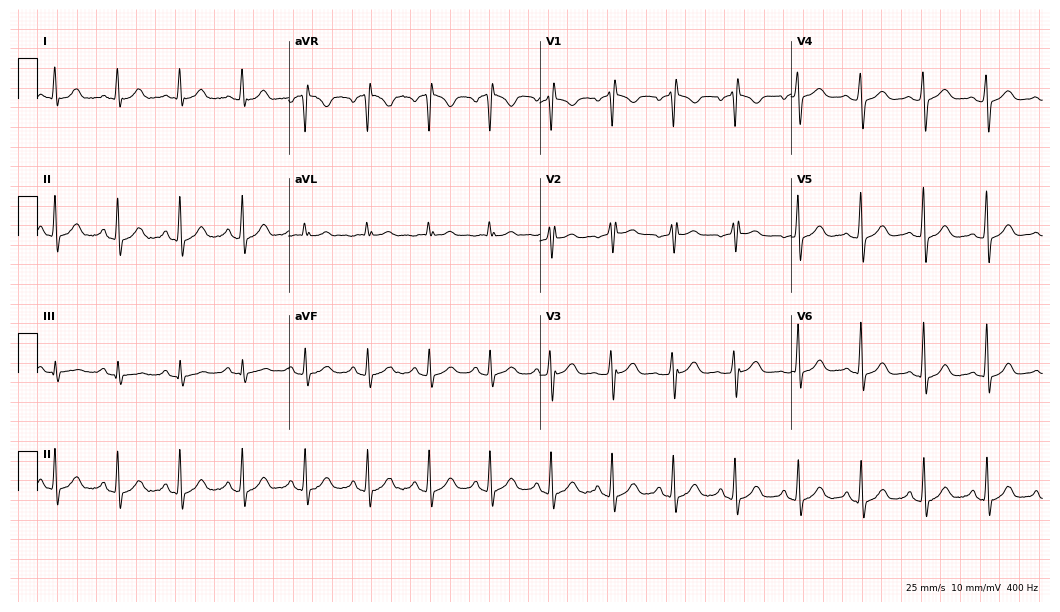
Standard 12-lead ECG recorded from a 49-year-old female. Read as a normal ECG.